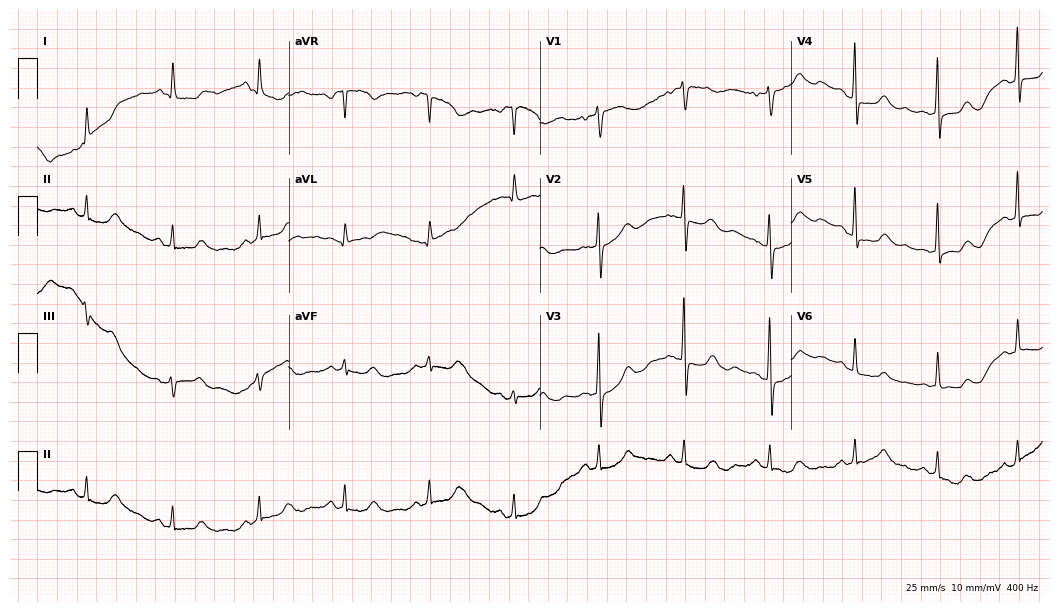
ECG (10.2-second recording at 400 Hz) — a female, 70 years old. Screened for six findings — first-degree AV block, right bundle branch block (RBBB), left bundle branch block (LBBB), sinus bradycardia, atrial fibrillation (AF), sinus tachycardia — none is recorded.